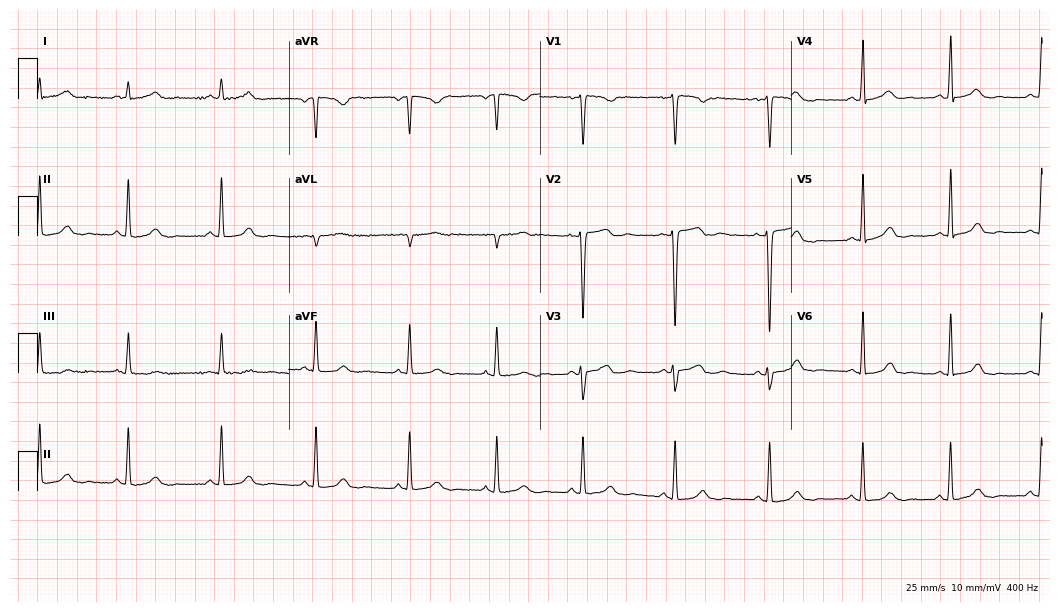
12-lead ECG from a woman, 41 years old. Recorded interpretation: within normal limits.